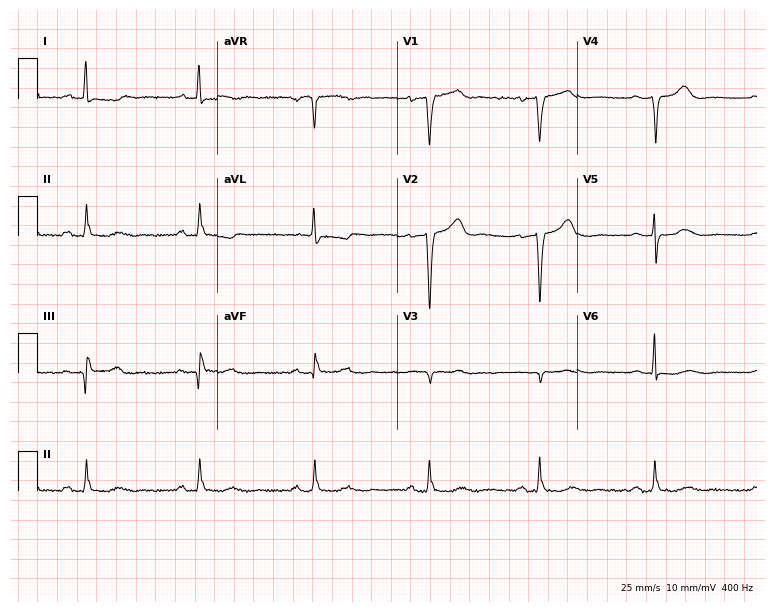
Electrocardiogram (7.3-second recording at 400 Hz), a female patient, 55 years old. Of the six screened findings (first-degree AV block, right bundle branch block, left bundle branch block, sinus bradycardia, atrial fibrillation, sinus tachycardia), none is recorded.